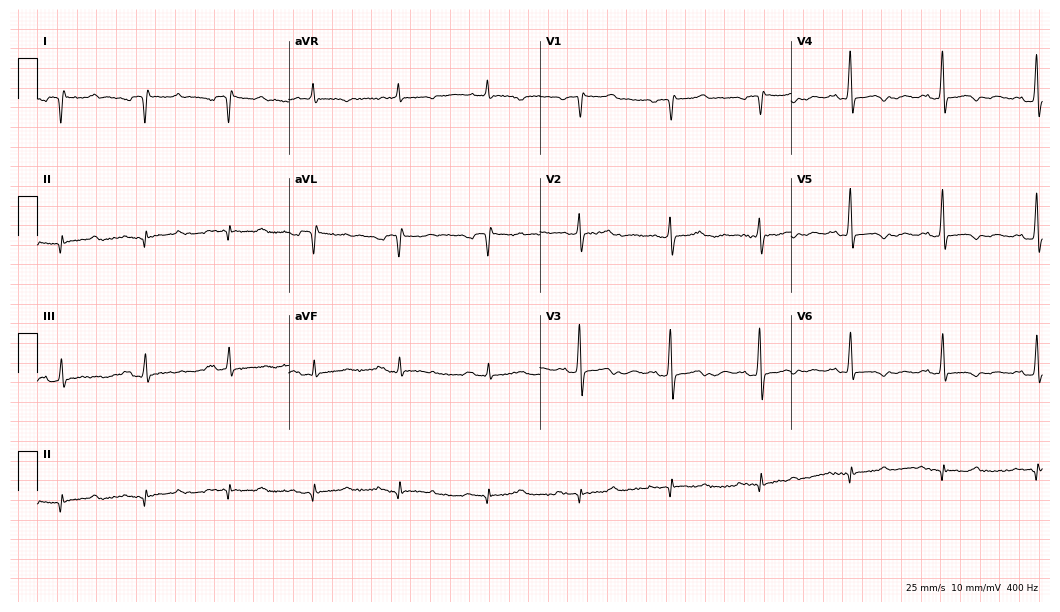
Electrocardiogram, a female, 66 years old. Of the six screened findings (first-degree AV block, right bundle branch block, left bundle branch block, sinus bradycardia, atrial fibrillation, sinus tachycardia), none is recorded.